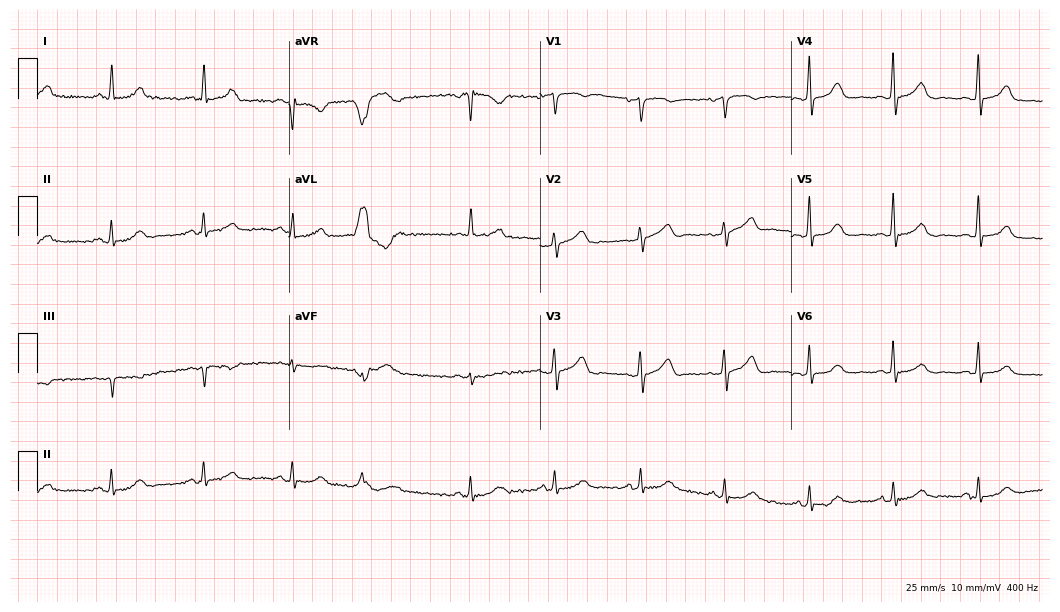
12-lead ECG (10.2-second recording at 400 Hz) from a woman, 68 years old. Labelled as a normal ECG.